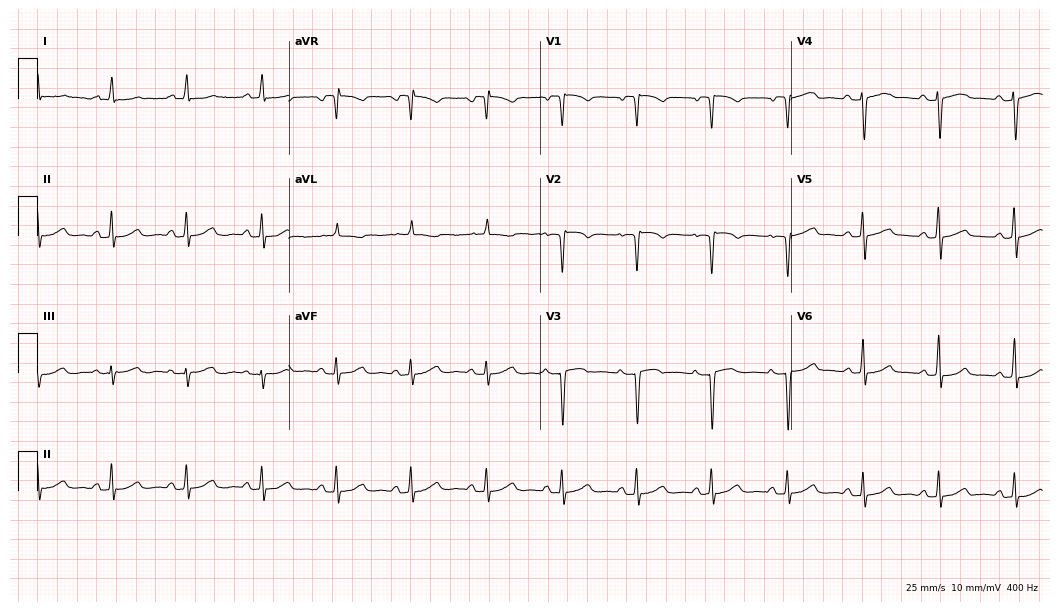
ECG — a female patient, 78 years old. Labelled as a normal ECG.